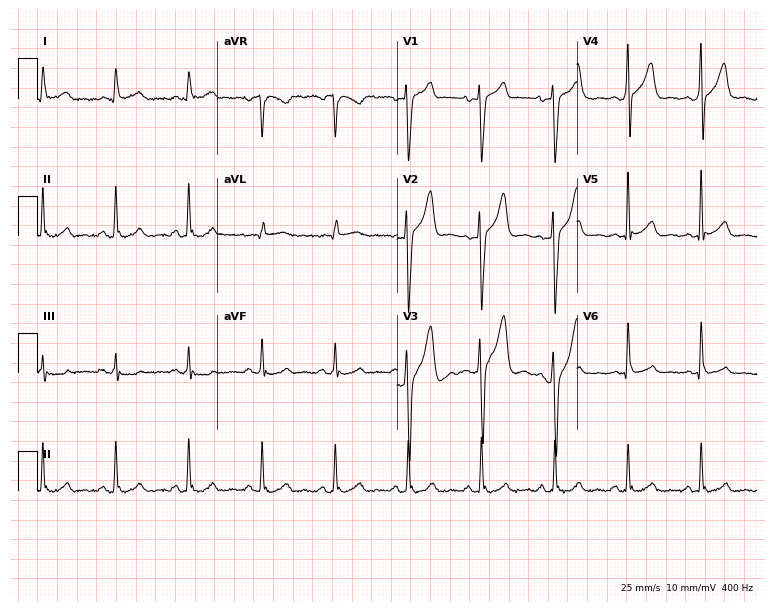
Standard 12-lead ECG recorded from a 33-year-old man. Read as a normal ECG.